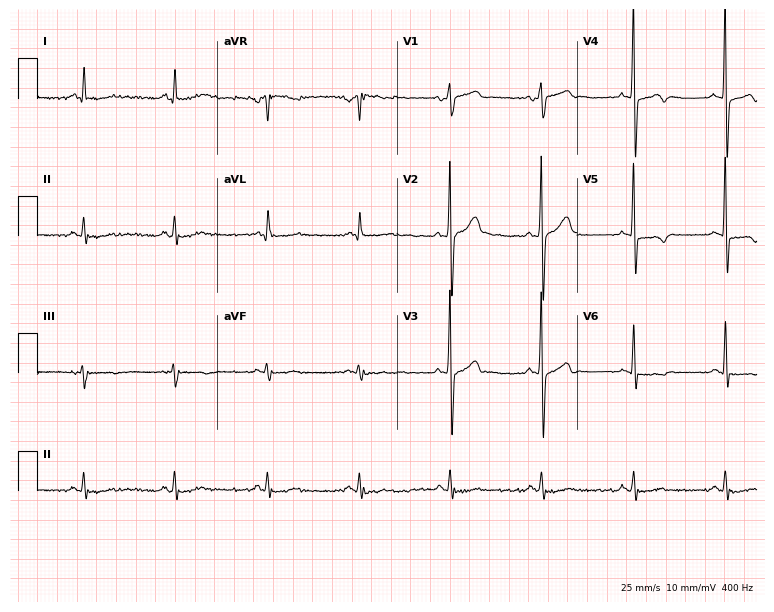
ECG (7.3-second recording at 400 Hz) — a female patient, 58 years old. Labelled as a normal ECG.